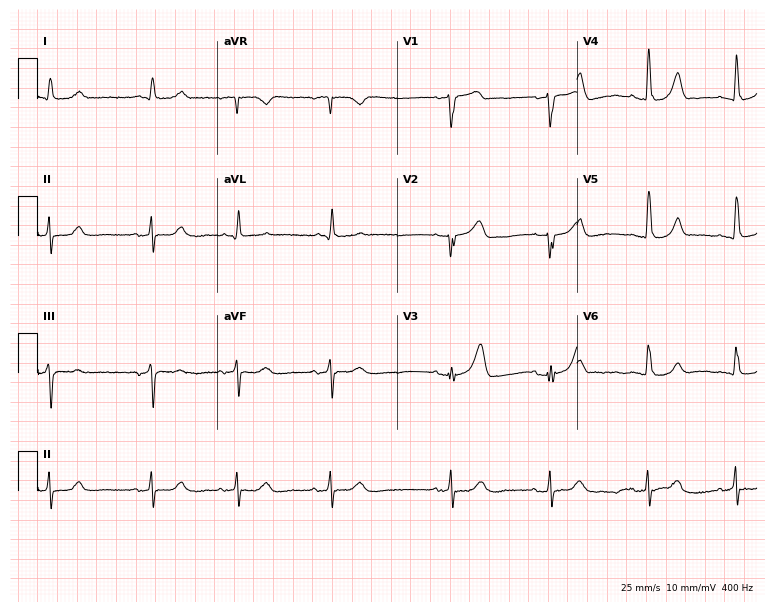
Electrocardiogram (7.3-second recording at 400 Hz), a male patient, 82 years old. Of the six screened findings (first-degree AV block, right bundle branch block, left bundle branch block, sinus bradycardia, atrial fibrillation, sinus tachycardia), none is recorded.